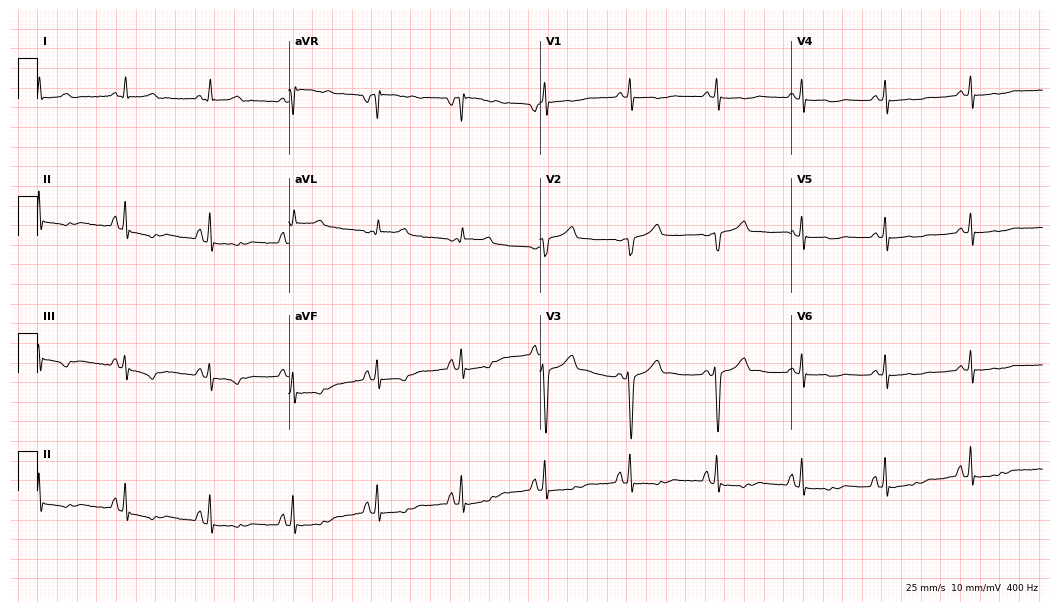
Electrocardiogram (10.2-second recording at 400 Hz), a male patient, 49 years old. Of the six screened findings (first-degree AV block, right bundle branch block, left bundle branch block, sinus bradycardia, atrial fibrillation, sinus tachycardia), none is recorded. Other findings, if any, are not listed.